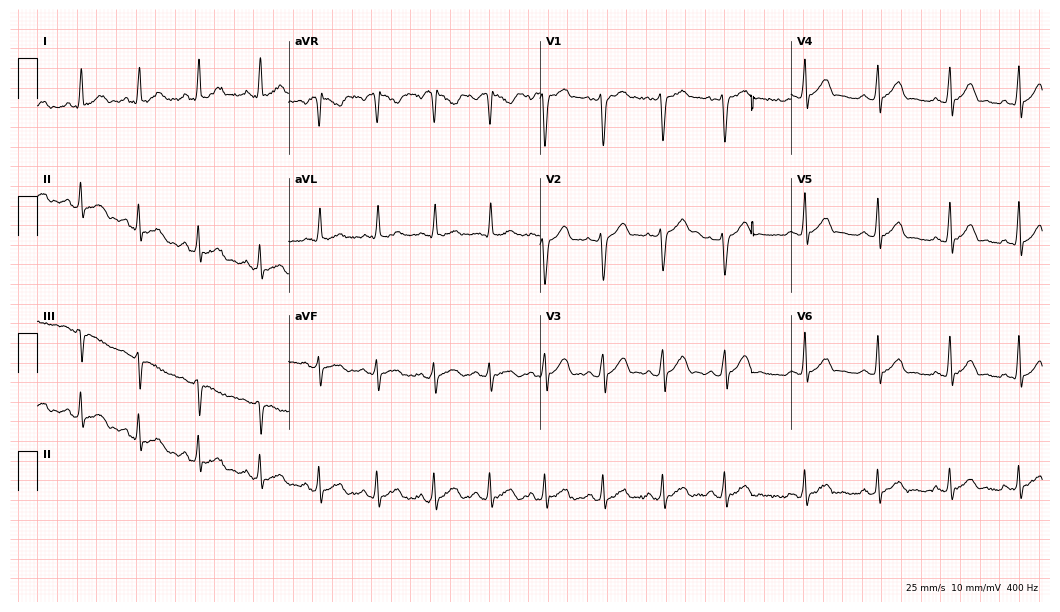
ECG (10.2-second recording at 400 Hz) — a 20-year-old man. Labelled as a normal ECG.